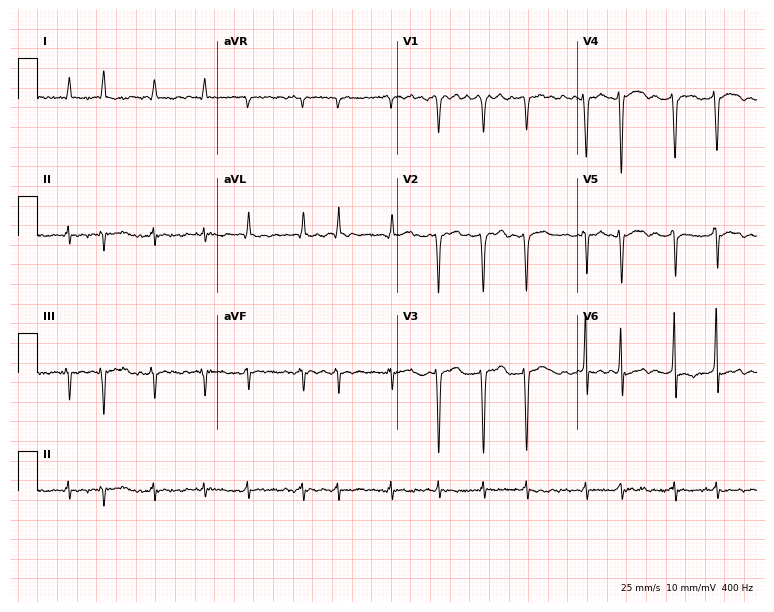
12-lead ECG (7.3-second recording at 400 Hz) from a 46-year-old male patient. Findings include atrial fibrillation.